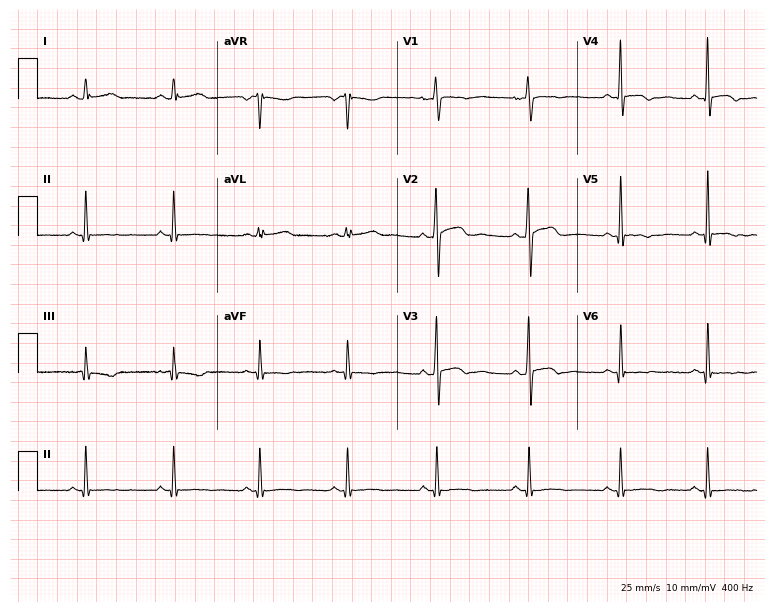
Electrocardiogram (7.3-second recording at 400 Hz), a 30-year-old female. Of the six screened findings (first-degree AV block, right bundle branch block (RBBB), left bundle branch block (LBBB), sinus bradycardia, atrial fibrillation (AF), sinus tachycardia), none is recorded.